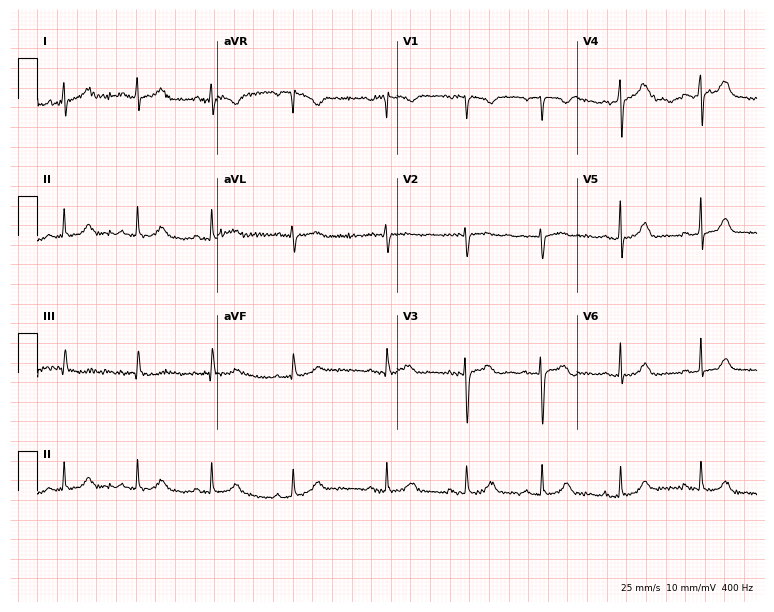
Standard 12-lead ECG recorded from a 32-year-old female (7.3-second recording at 400 Hz). Read as a normal ECG.